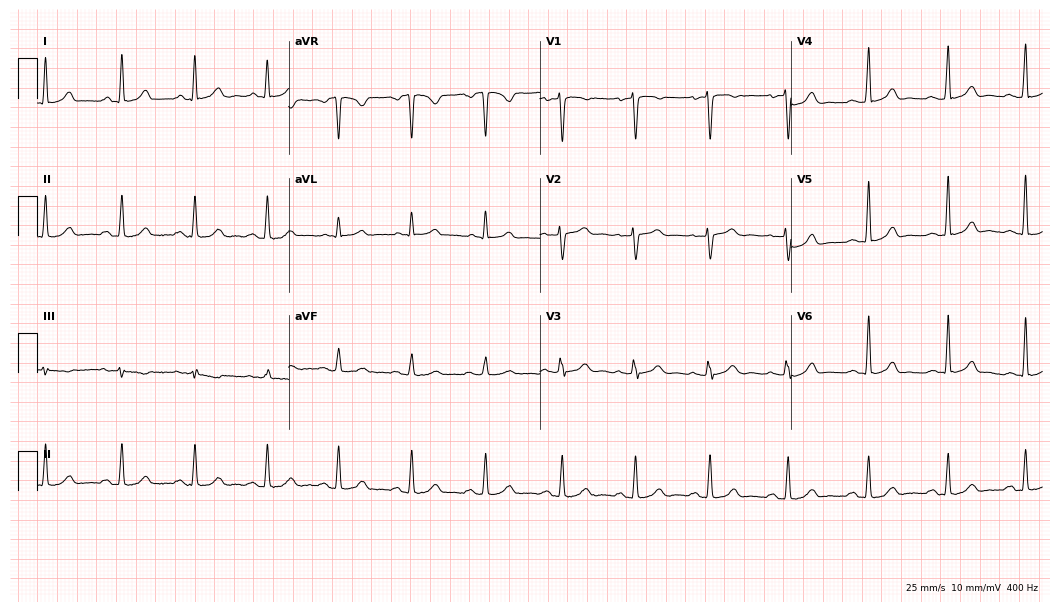
12-lead ECG from a 45-year-old woman. No first-degree AV block, right bundle branch block, left bundle branch block, sinus bradycardia, atrial fibrillation or sinus tachycardia recorded for this tracing. Only these six findings were labelled.